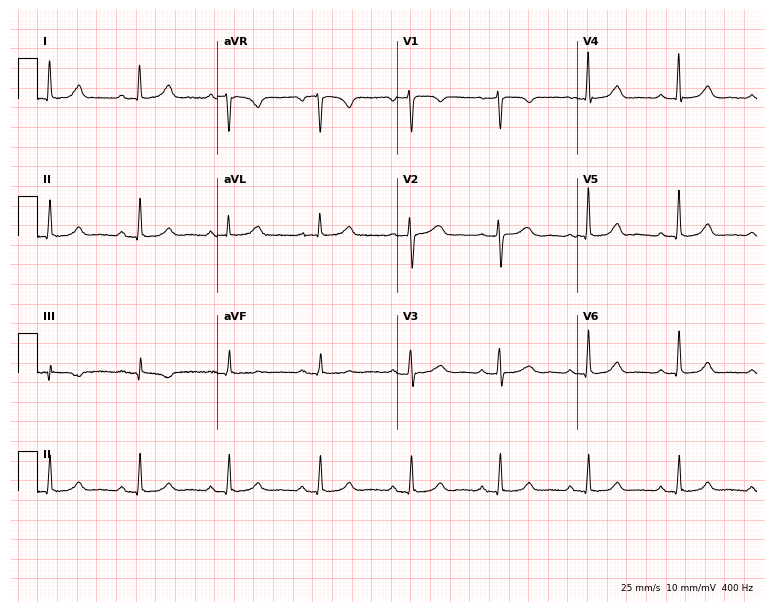
ECG (7.3-second recording at 400 Hz) — a woman, 66 years old. Labelled as a normal ECG.